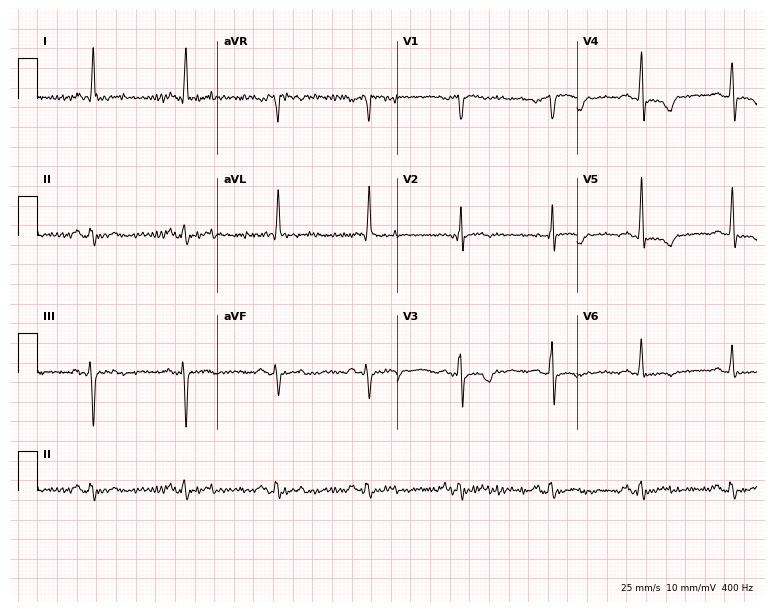
12-lead ECG from a 77-year-old male patient (7.3-second recording at 400 Hz). No first-degree AV block, right bundle branch block, left bundle branch block, sinus bradycardia, atrial fibrillation or sinus tachycardia recorded for this tracing.